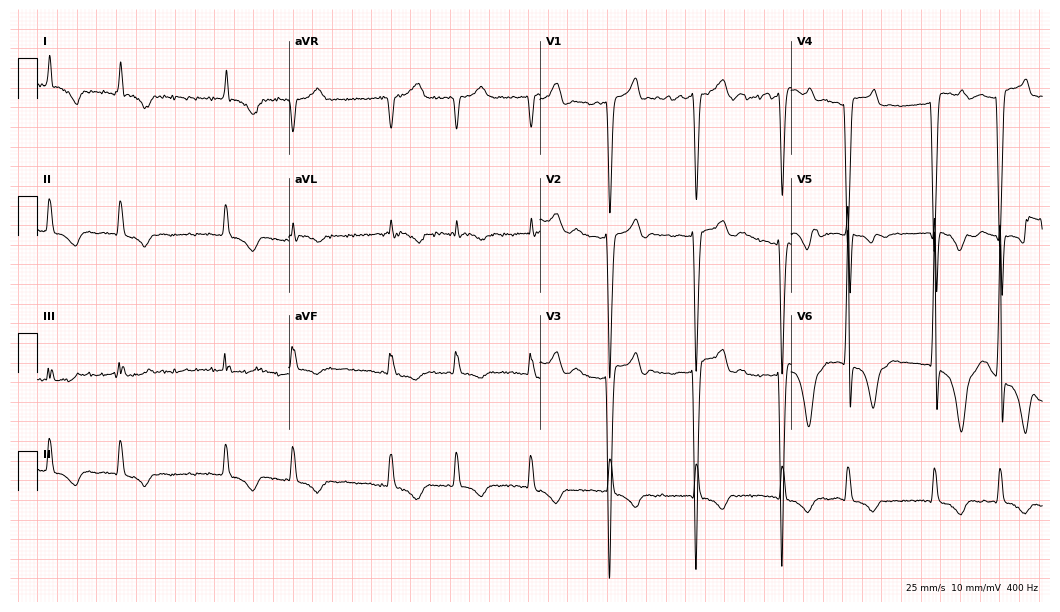
Standard 12-lead ECG recorded from an 83-year-old man (10.2-second recording at 400 Hz). The tracing shows atrial fibrillation.